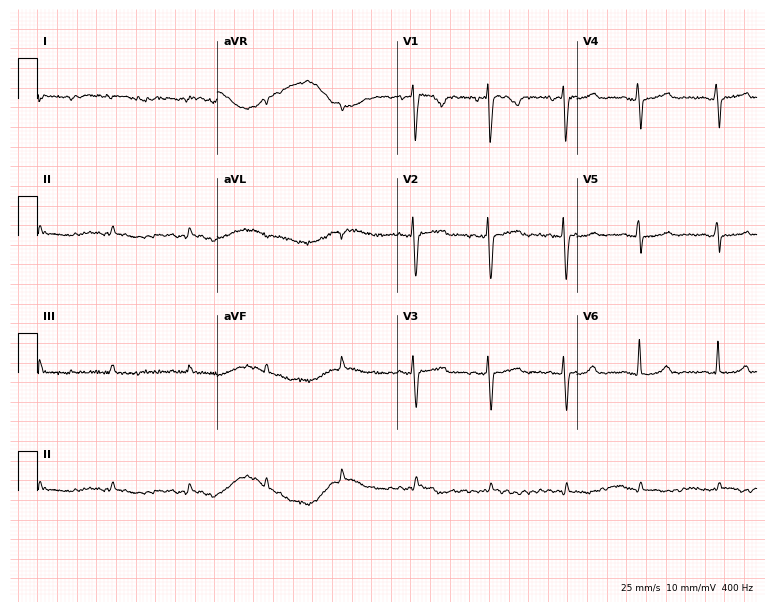
Resting 12-lead electrocardiogram. Patient: a 39-year-old female. None of these six findings is recorded: first-degree AV block, right bundle branch block, left bundle branch block, sinus bradycardia, atrial fibrillation, sinus tachycardia. Findings outside these six are not listed.